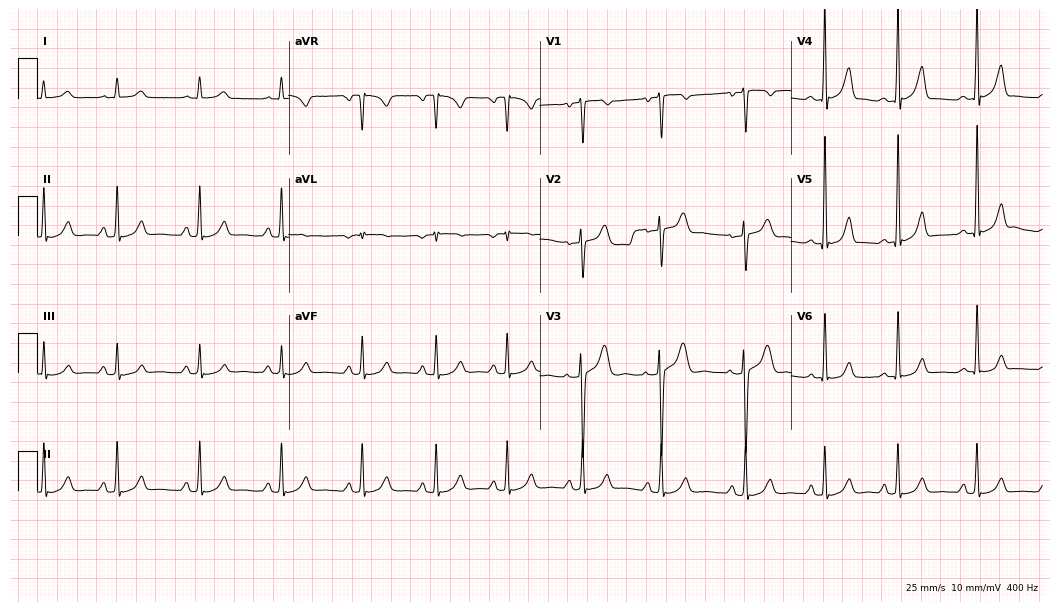
ECG (10.2-second recording at 400 Hz) — a 24-year-old woman. Screened for six findings — first-degree AV block, right bundle branch block (RBBB), left bundle branch block (LBBB), sinus bradycardia, atrial fibrillation (AF), sinus tachycardia — none is recorded.